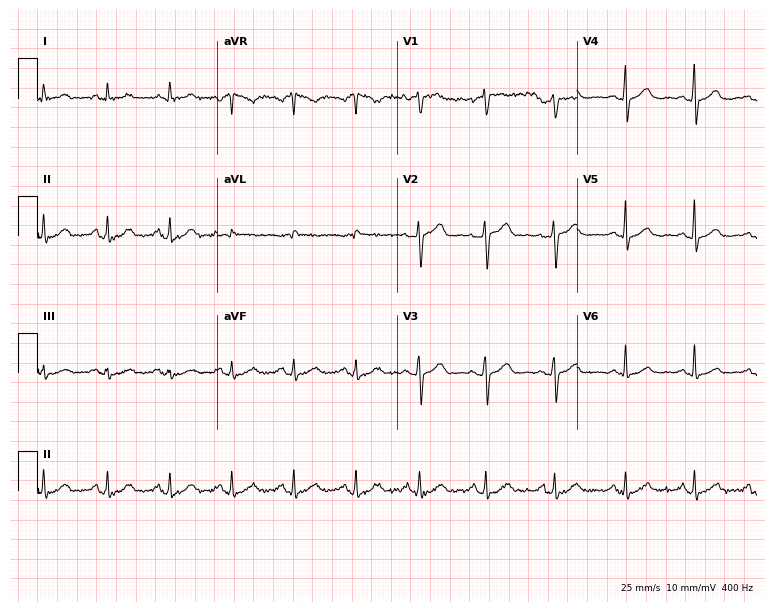
Standard 12-lead ECG recorded from a woman, 48 years old. Read as a normal ECG.